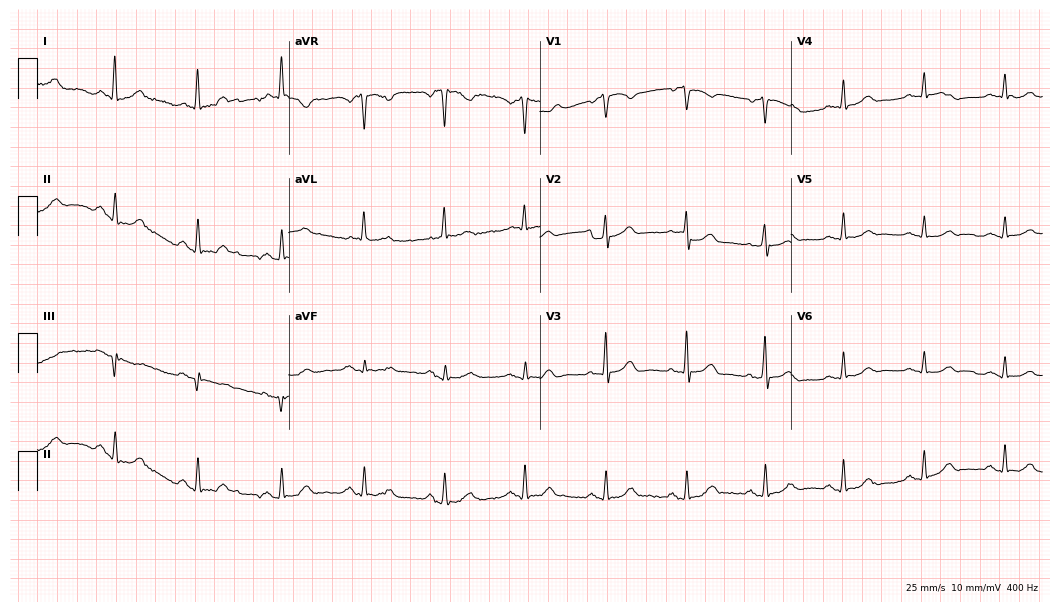
Standard 12-lead ECG recorded from a female patient, 68 years old. Read as a normal ECG.